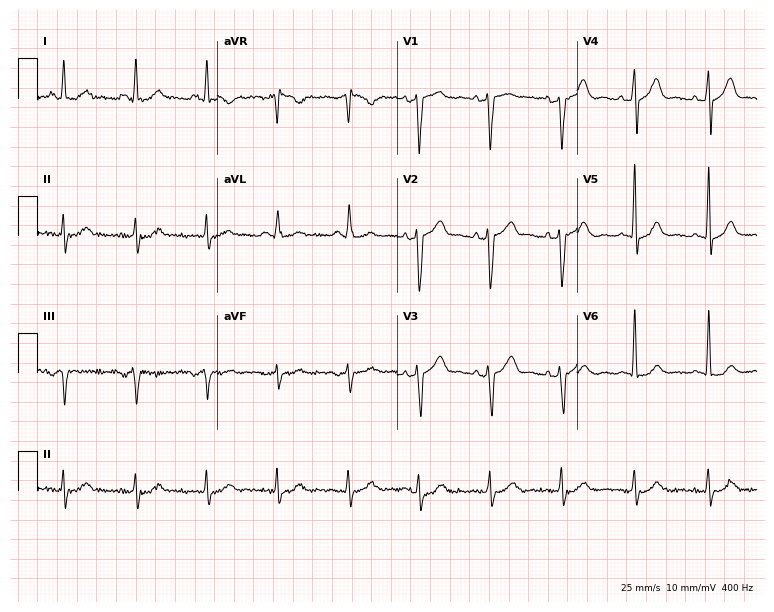
Standard 12-lead ECG recorded from a 58-year-old male (7.3-second recording at 400 Hz). Read as a normal ECG.